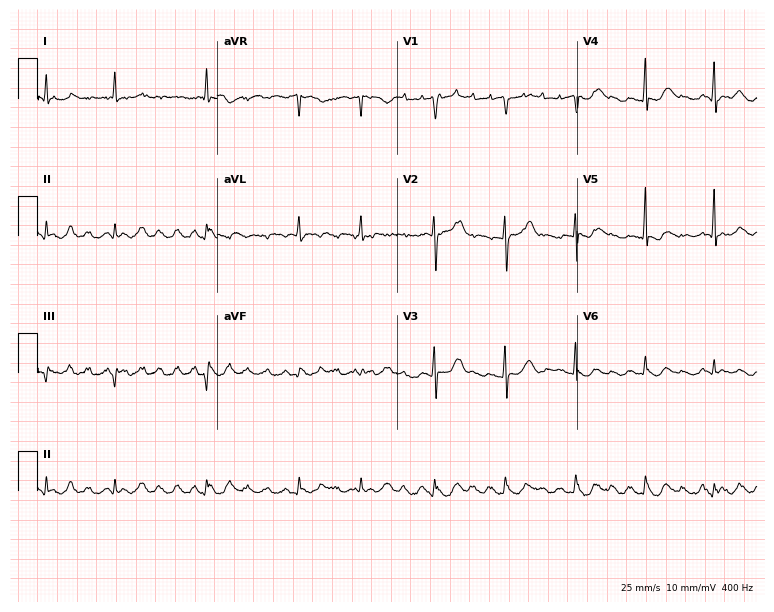
Electrocardiogram, a male, 71 years old. Interpretation includes atrial fibrillation.